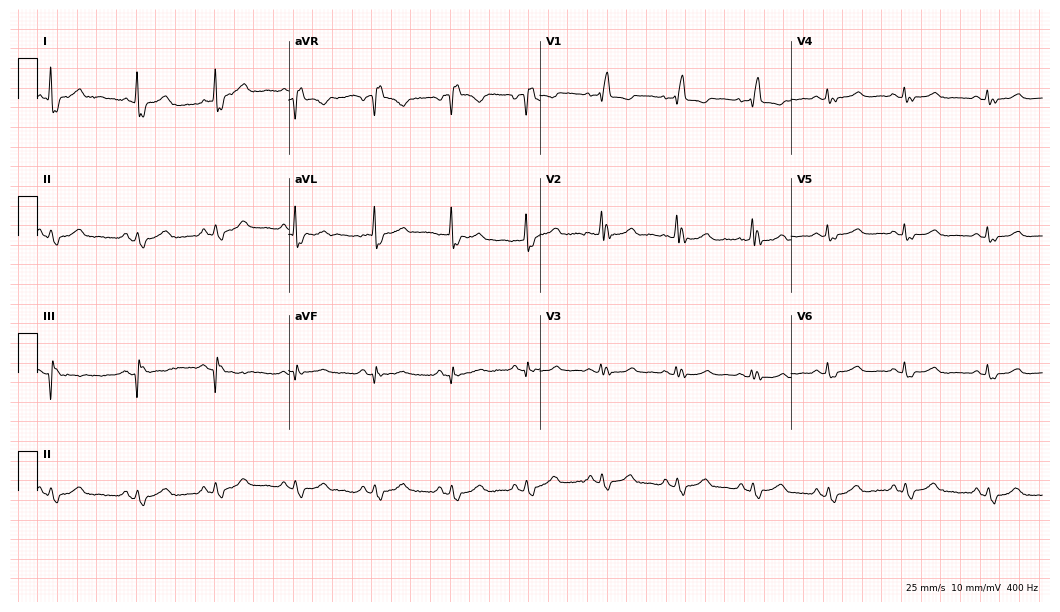
Standard 12-lead ECG recorded from a woman, 80 years old. The tracing shows right bundle branch block (RBBB).